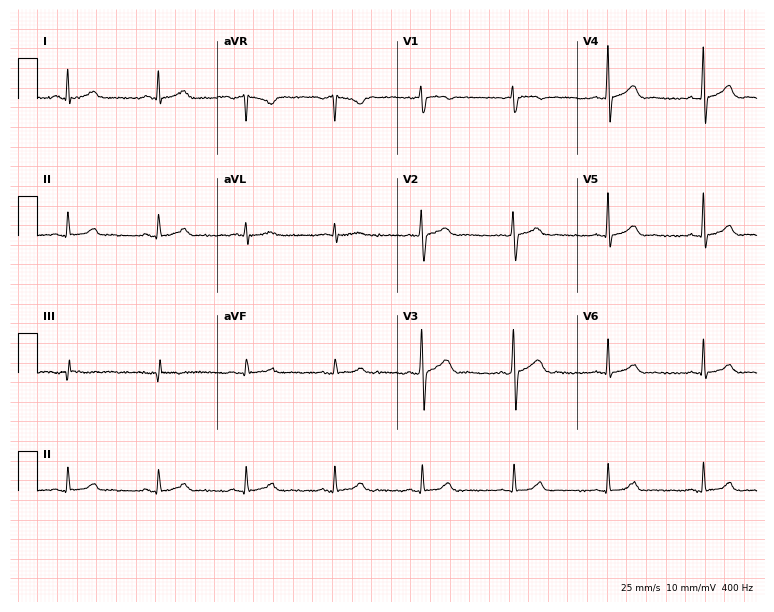
Electrocardiogram, a male, 39 years old. Overall reading on record: normal ECG.